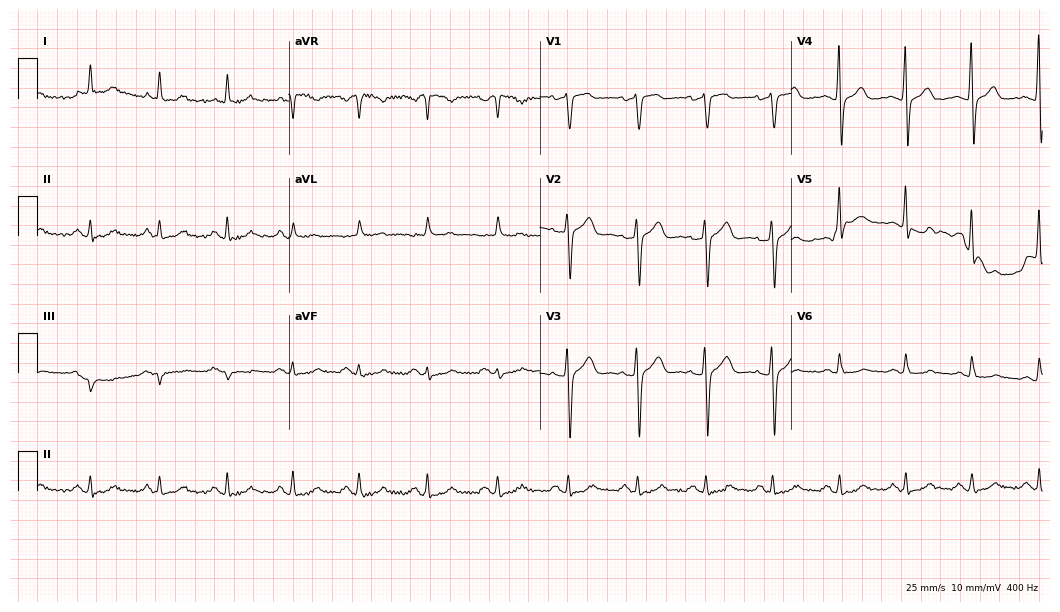
Resting 12-lead electrocardiogram. Patient: a 69-year-old woman. Read as a normal ECG.